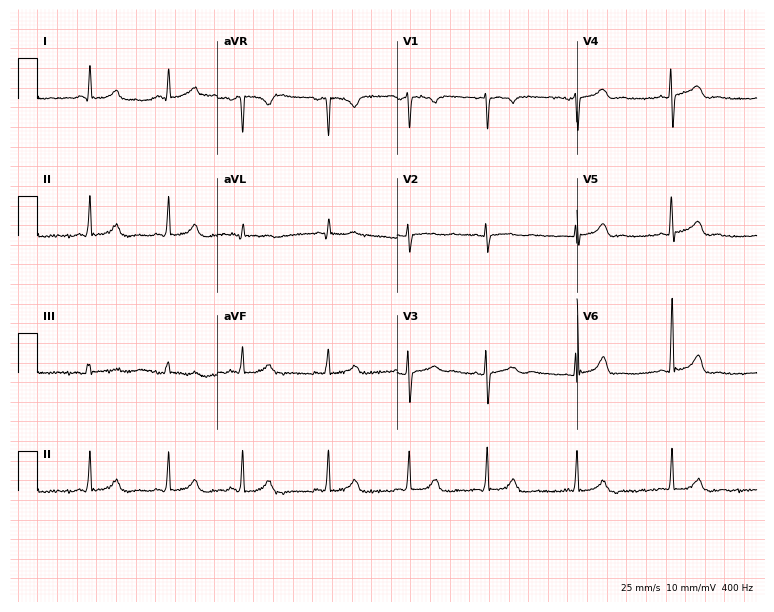
Electrocardiogram (7.3-second recording at 400 Hz), a 24-year-old female. Overall reading on record: normal ECG.